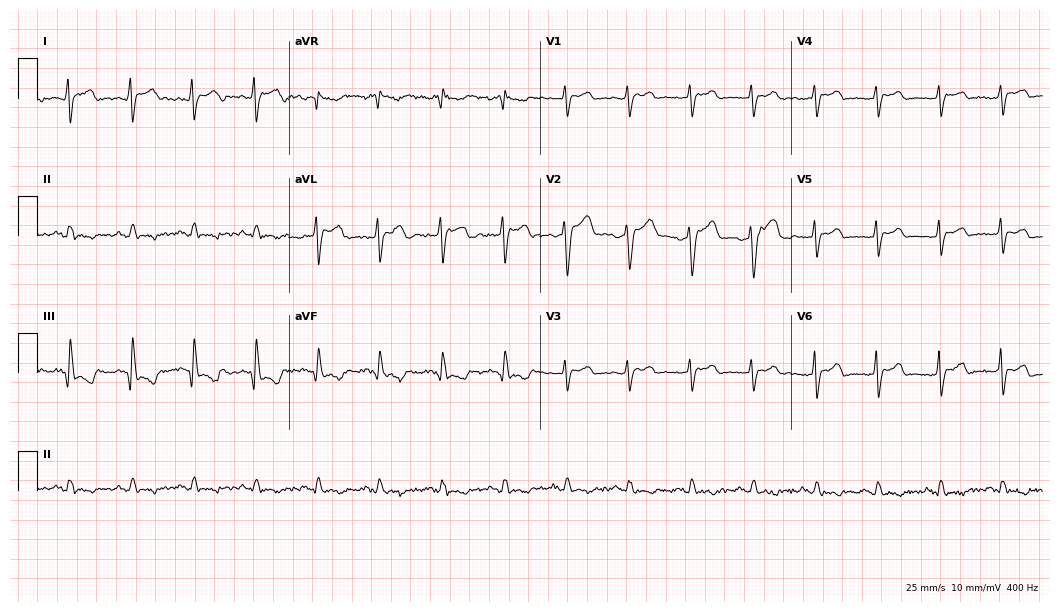
Standard 12-lead ECG recorded from a man, 68 years old. None of these six findings is recorded: first-degree AV block, right bundle branch block (RBBB), left bundle branch block (LBBB), sinus bradycardia, atrial fibrillation (AF), sinus tachycardia.